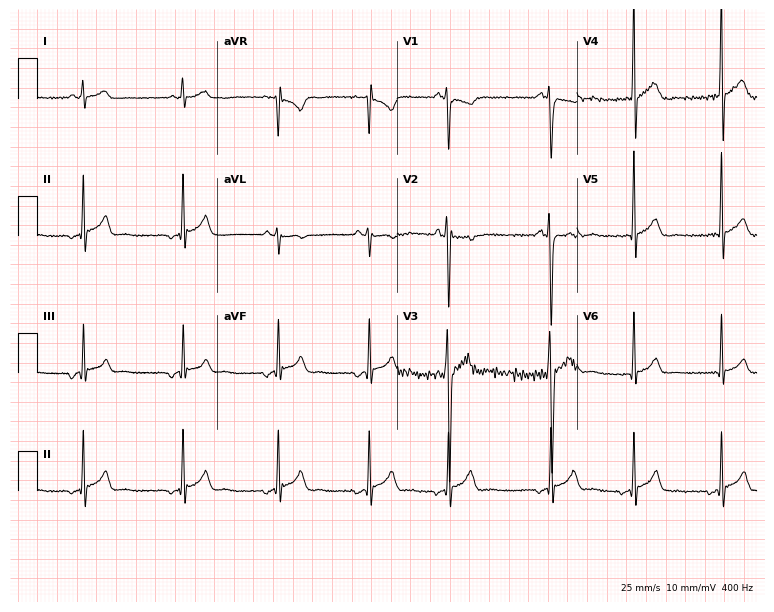
Standard 12-lead ECG recorded from a 21-year-old male. Read as a normal ECG.